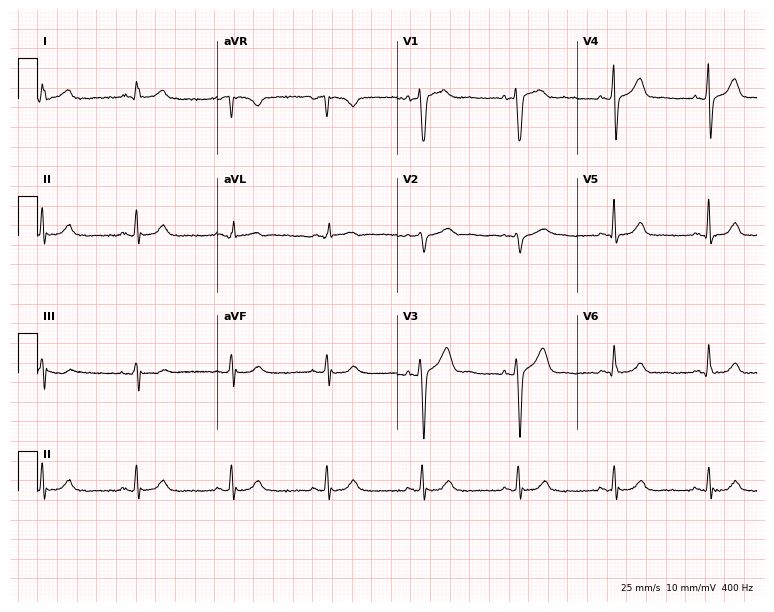
Electrocardiogram, a man, 55 years old. Overall reading on record: normal ECG.